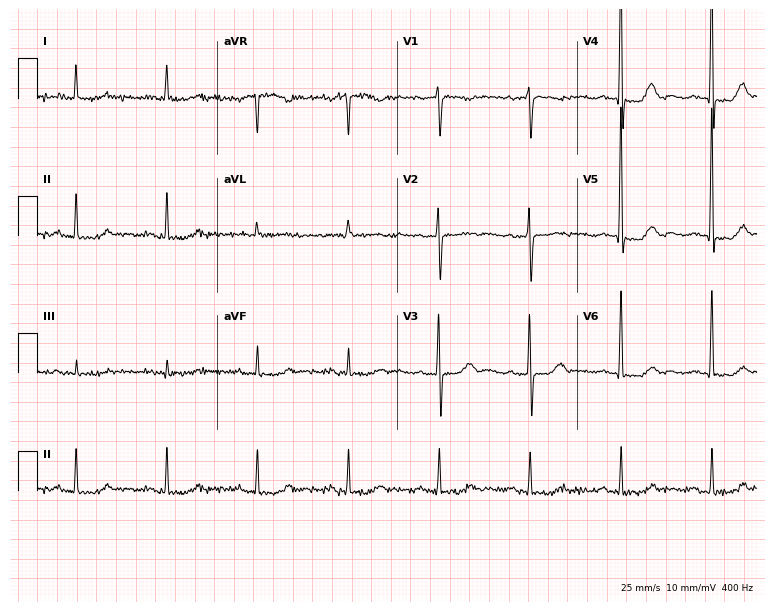
ECG — an 84-year-old woman. Screened for six findings — first-degree AV block, right bundle branch block, left bundle branch block, sinus bradycardia, atrial fibrillation, sinus tachycardia — none is recorded. Only these six findings were labelled.